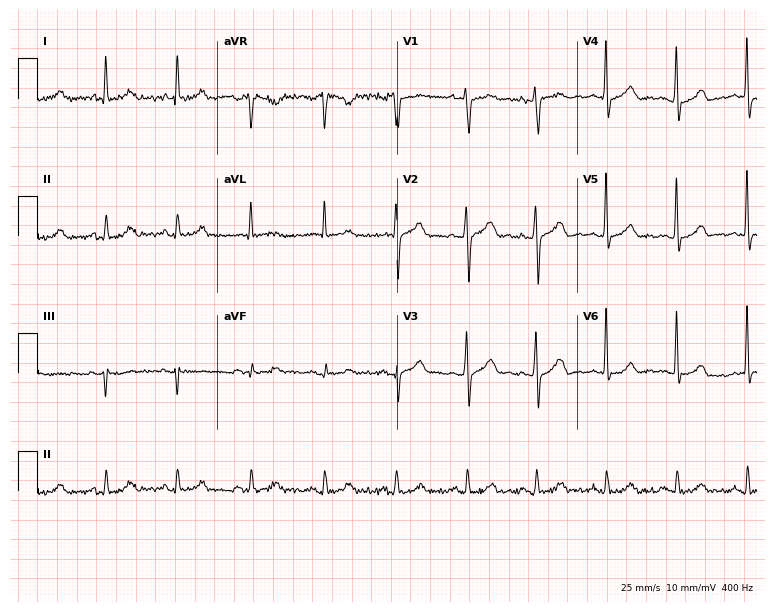
12-lead ECG from a 49-year-old male patient. Recorded interpretation: within normal limits.